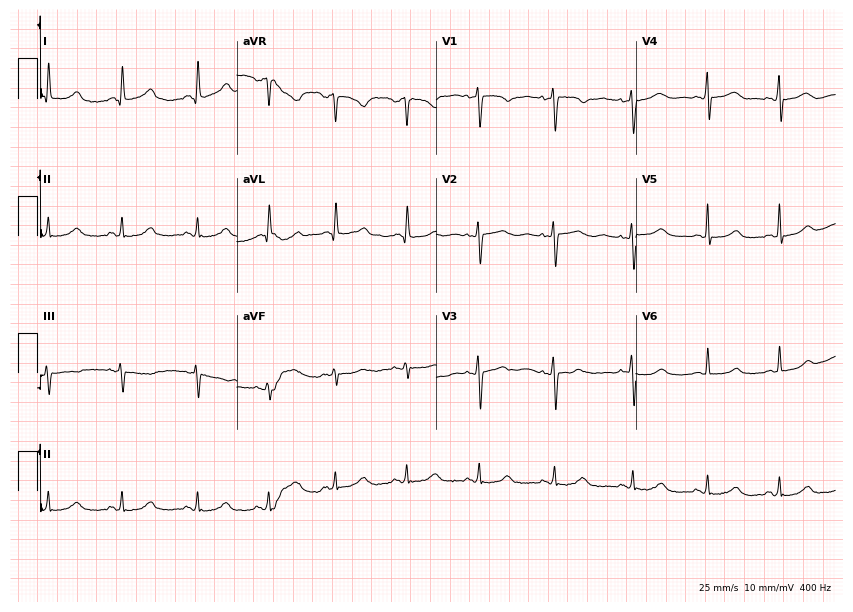
Resting 12-lead electrocardiogram (8.1-second recording at 400 Hz). Patient: a woman, 40 years old. None of these six findings is recorded: first-degree AV block, right bundle branch block, left bundle branch block, sinus bradycardia, atrial fibrillation, sinus tachycardia.